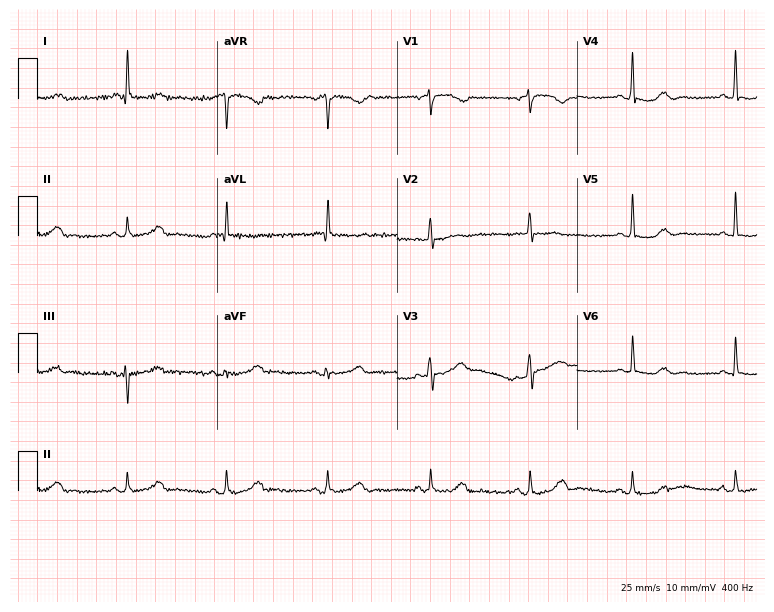
12-lead ECG from a 77-year-old female (7.3-second recording at 400 Hz). No first-degree AV block, right bundle branch block (RBBB), left bundle branch block (LBBB), sinus bradycardia, atrial fibrillation (AF) or sinus tachycardia recorded for this tracing.